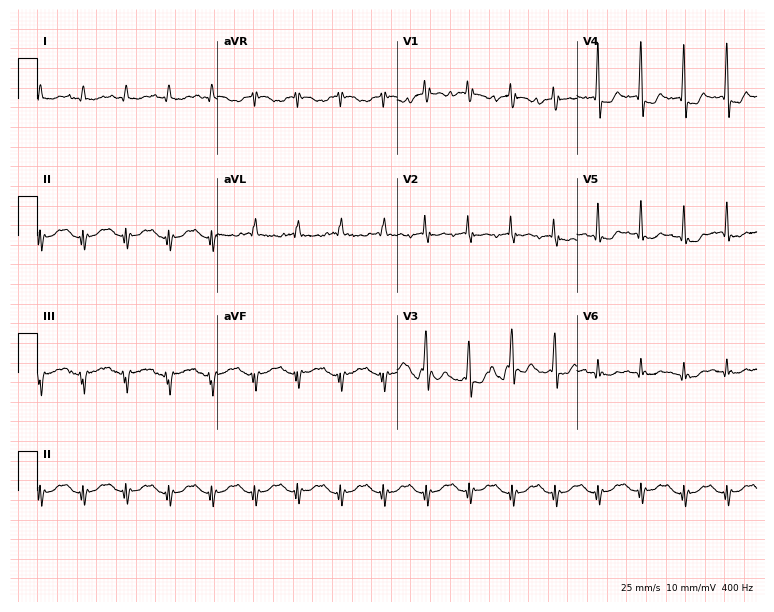
Electrocardiogram, a 74-year-old male. Of the six screened findings (first-degree AV block, right bundle branch block, left bundle branch block, sinus bradycardia, atrial fibrillation, sinus tachycardia), none is recorded.